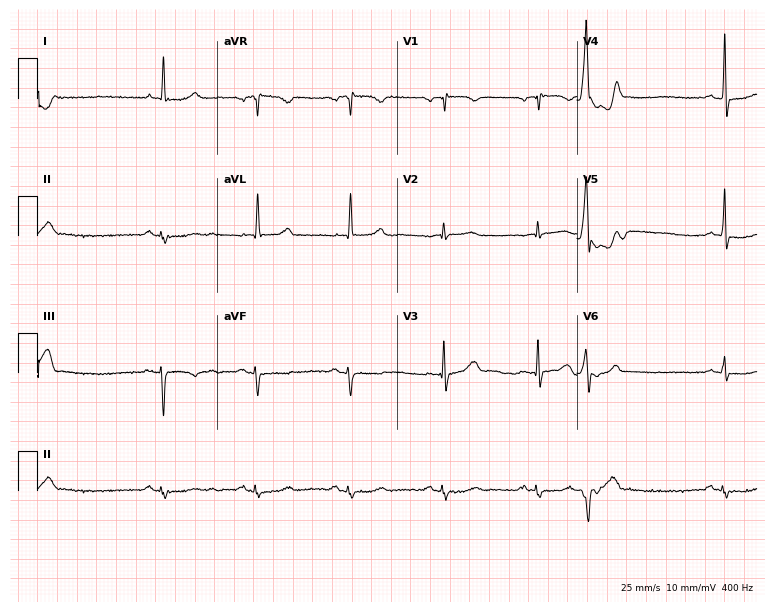
Standard 12-lead ECG recorded from an 81-year-old male (7.3-second recording at 400 Hz). Read as a normal ECG.